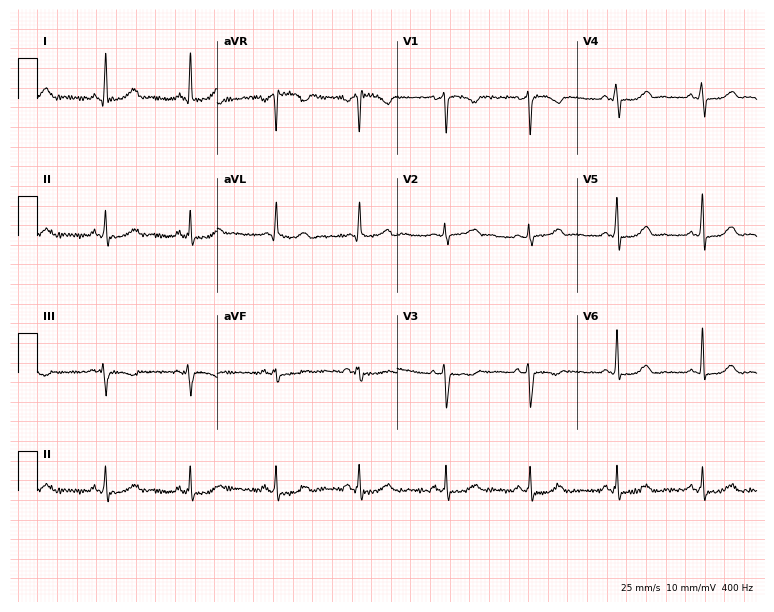
12-lead ECG from a female, 40 years old (7.3-second recording at 400 Hz). No first-degree AV block, right bundle branch block, left bundle branch block, sinus bradycardia, atrial fibrillation or sinus tachycardia recorded for this tracing.